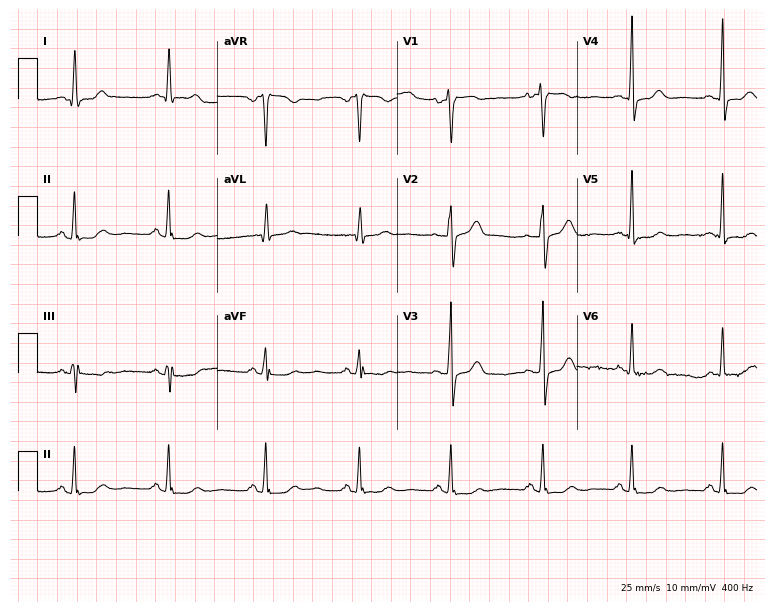
12-lead ECG (7.3-second recording at 400 Hz) from a 37-year-old female patient. Screened for six findings — first-degree AV block, right bundle branch block, left bundle branch block, sinus bradycardia, atrial fibrillation, sinus tachycardia — none is recorded.